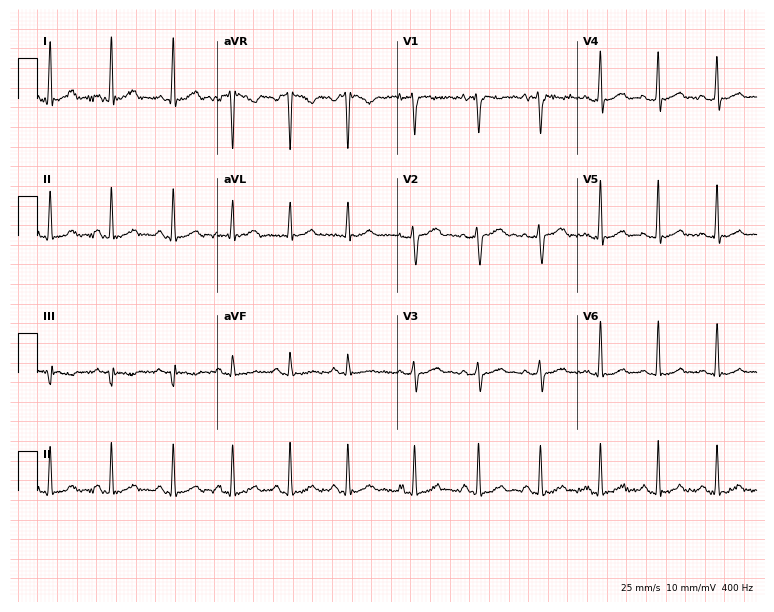
12-lead ECG (7.3-second recording at 400 Hz) from a female patient, 40 years old. Screened for six findings — first-degree AV block, right bundle branch block, left bundle branch block, sinus bradycardia, atrial fibrillation, sinus tachycardia — none is recorded.